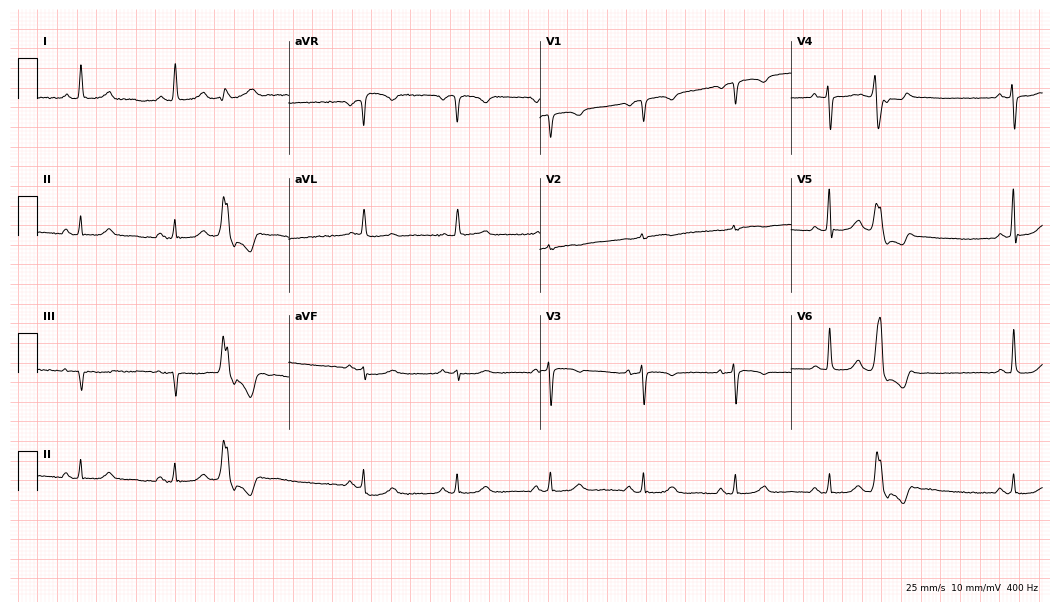
12-lead ECG from an 81-year-old woman. No first-degree AV block, right bundle branch block, left bundle branch block, sinus bradycardia, atrial fibrillation or sinus tachycardia recorded for this tracing.